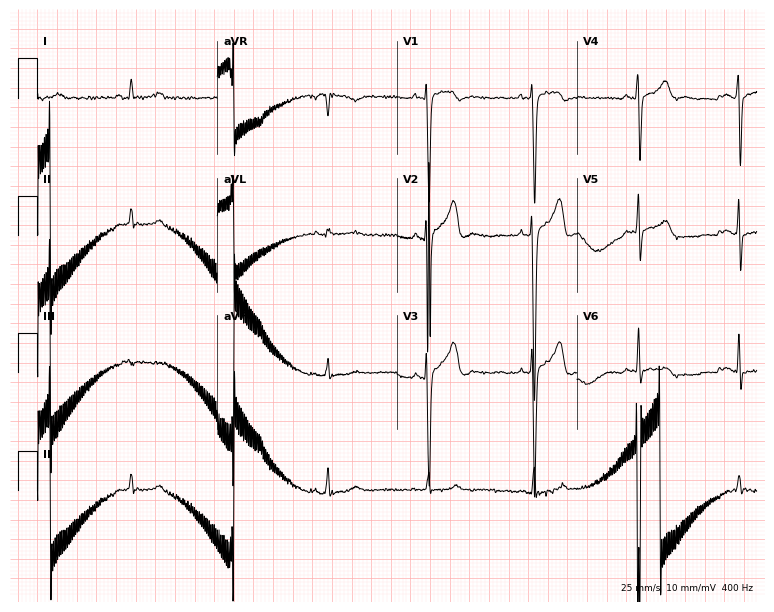
12-lead ECG from a 29-year-old male. Recorded interpretation: within normal limits.